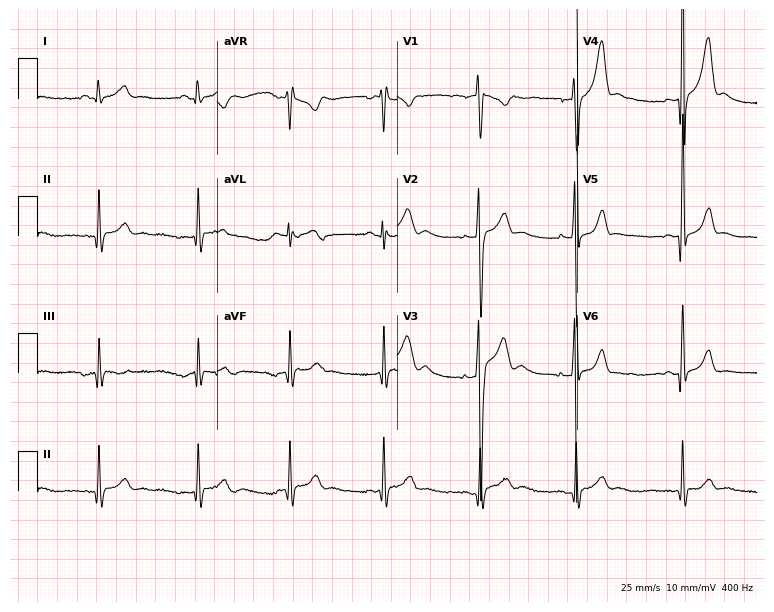
ECG — a male patient, 30 years old. Labelled as a normal ECG.